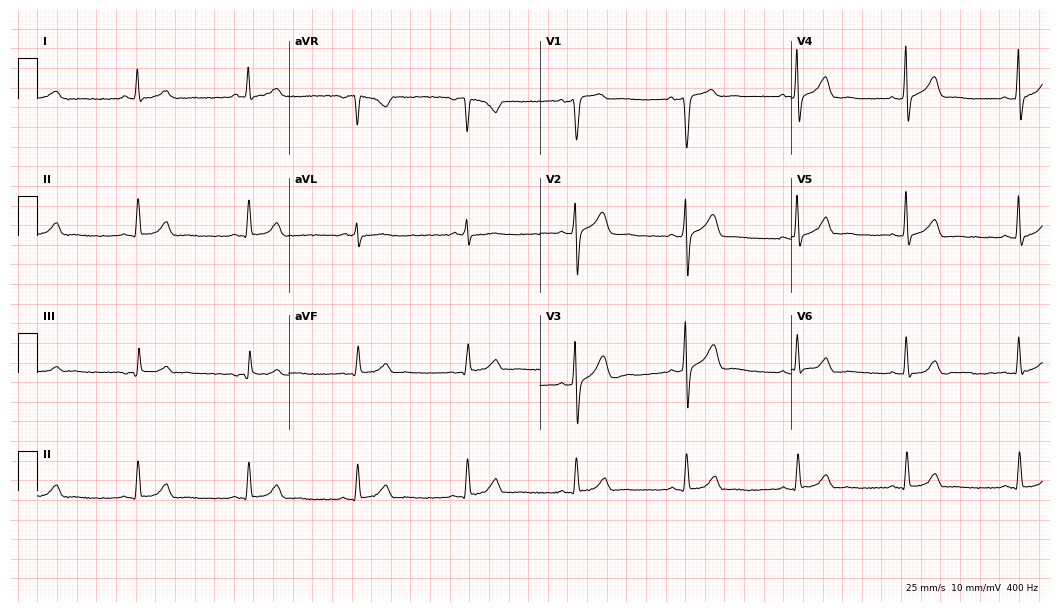
ECG — a male patient, 54 years old. Labelled as a normal ECG.